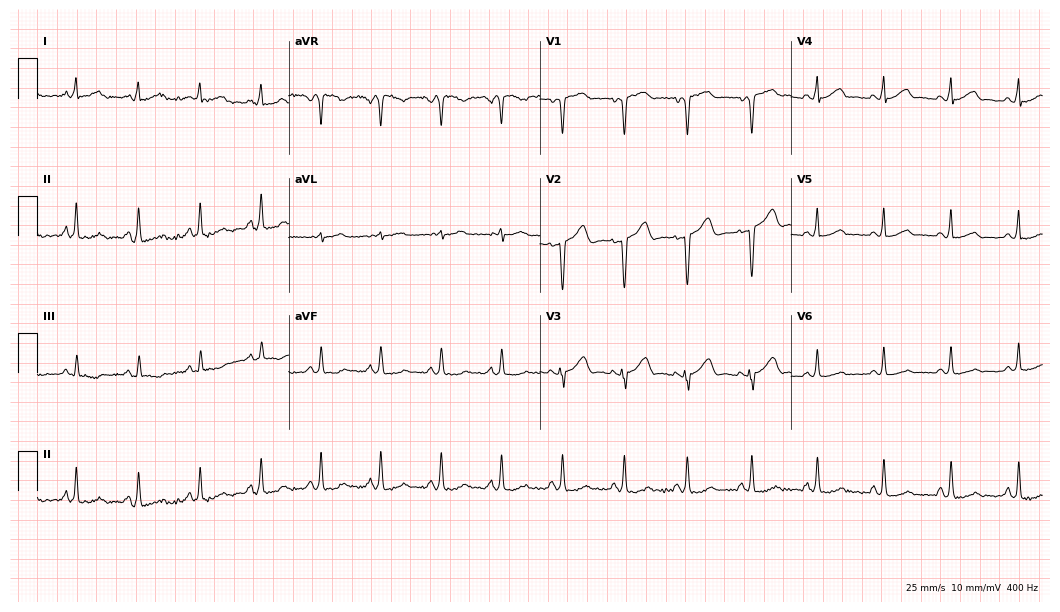
Standard 12-lead ECG recorded from a female patient, 38 years old. Read as a normal ECG.